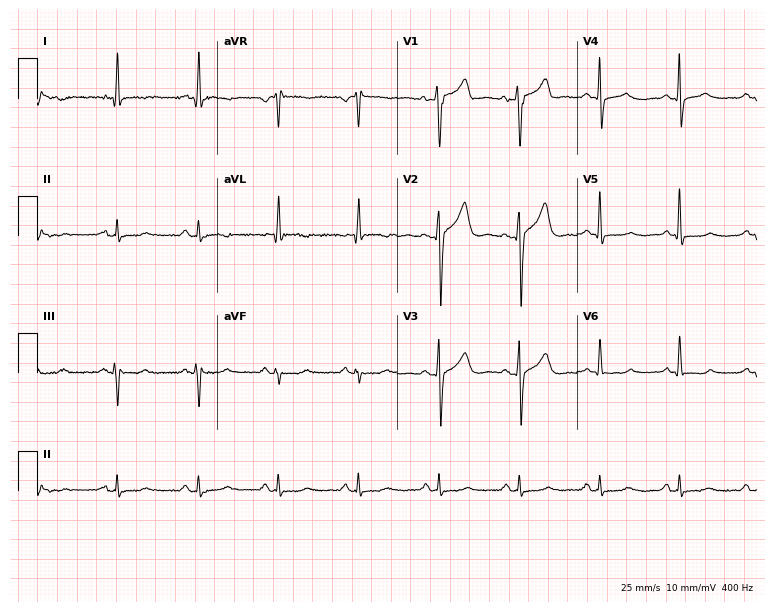
Standard 12-lead ECG recorded from a man, 61 years old (7.3-second recording at 400 Hz). None of these six findings is recorded: first-degree AV block, right bundle branch block, left bundle branch block, sinus bradycardia, atrial fibrillation, sinus tachycardia.